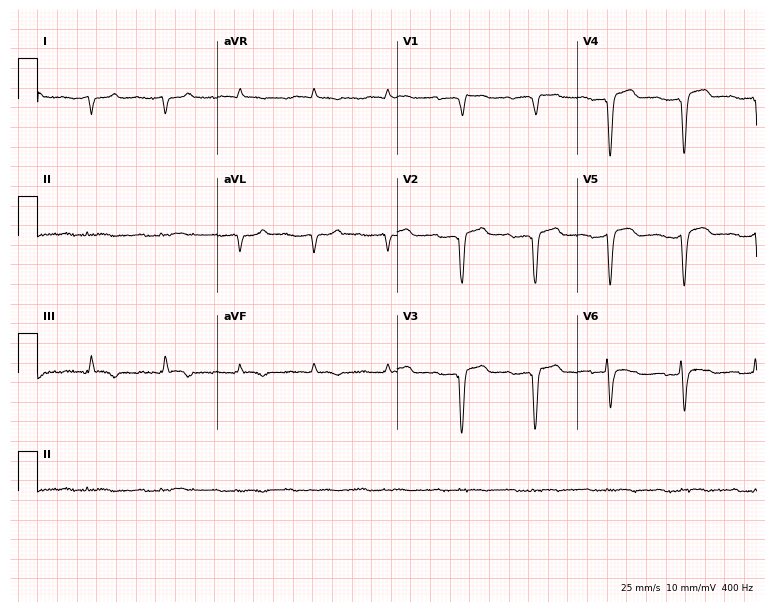
12-lead ECG from an 83-year-old male. Screened for six findings — first-degree AV block, right bundle branch block, left bundle branch block, sinus bradycardia, atrial fibrillation, sinus tachycardia — none is recorded.